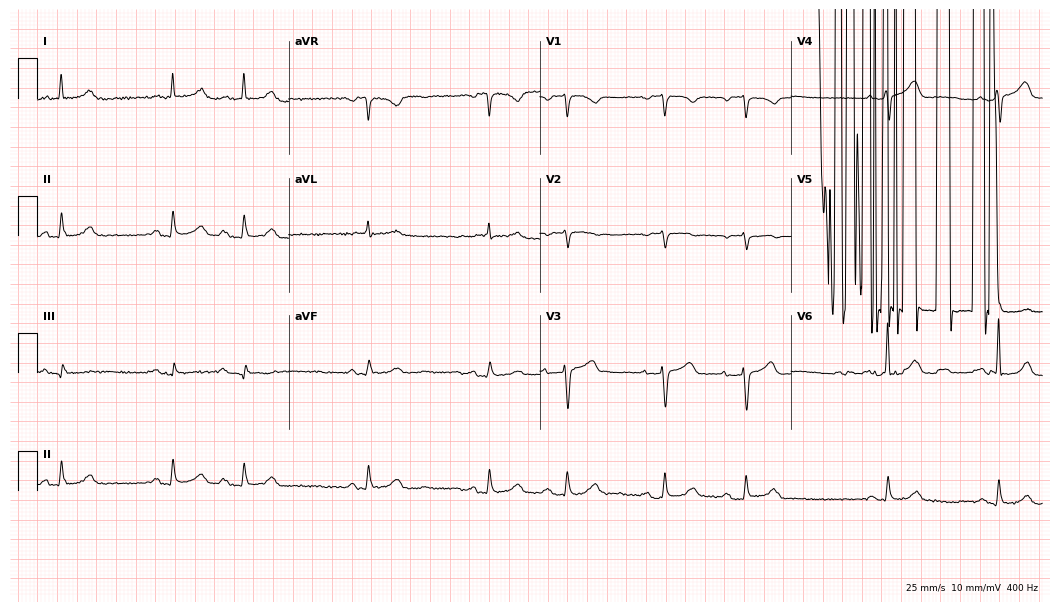
Standard 12-lead ECG recorded from a woman, 84 years old (10.2-second recording at 400 Hz). None of these six findings is recorded: first-degree AV block, right bundle branch block (RBBB), left bundle branch block (LBBB), sinus bradycardia, atrial fibrillation (AF), sinus tachycardia. Other findings, if any, are not listed.